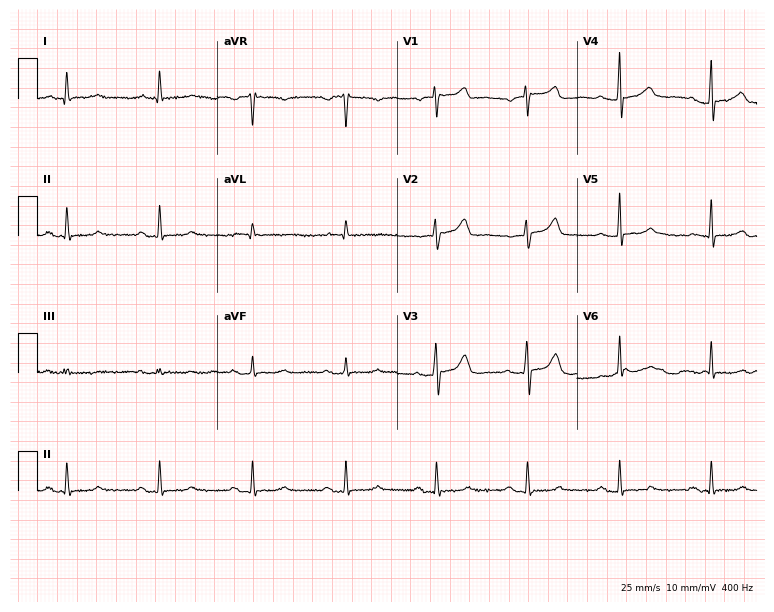
Standard 12-lead ECG recorded from a female patient, 72 years old. Read as a normal ECG.